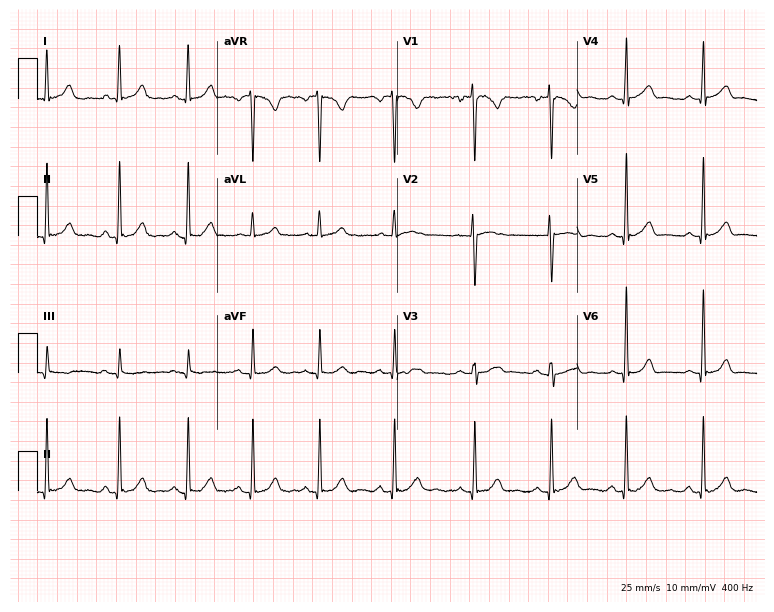
ECG (7.3-second recording at 400 Hz) — a woman, 27 years old. Labelled as a normal ECG.